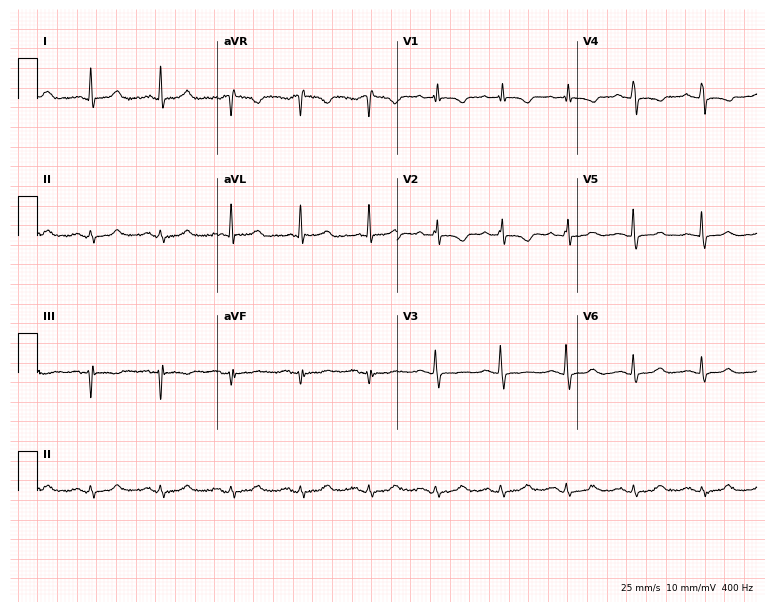
Standard 12-lead ECG recorded from a female, 78 years old (7.3-second recording at 400 Hz). None of these six findings is recorded: first-degree AV block, right bundle branch block, left bundle branch block, sinus bradycardia, atrial fibrillation, sinus tachycardia. Only these six findings were labelled.